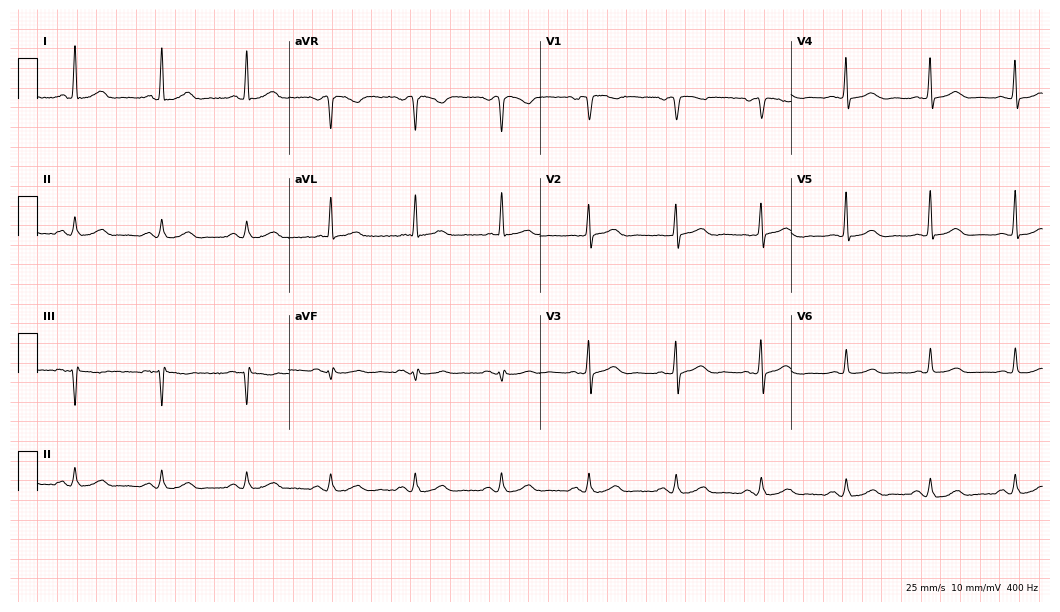
Resting 12-lead electrocardiogram. Patient: a 70-year-old woman. None of these six findings is recorded: first-degree AV block, right bundle branch block, left bundle branch block, sinus bradycardia, atrial fibrillation, sinus tachycardia. Findings outside these six are not listed.